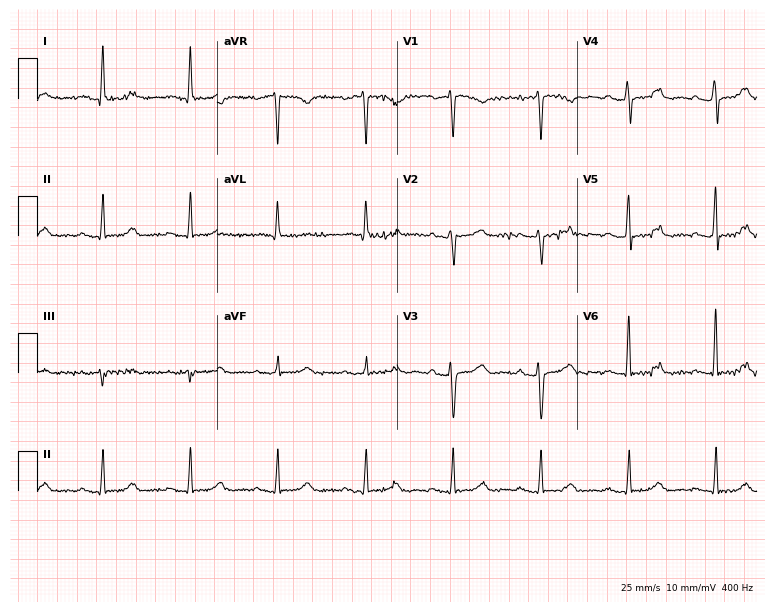
Standard 12-lead ECG recorded from a 52-year-old female. None of these six findings is recorded: first-degree AV block, right bundle branch block (RBBB), left bundle branch block (LBBB), sinus bradycardia, atrial fibrillation (AF), sinus tachycardia. Only these six findings were labelled.